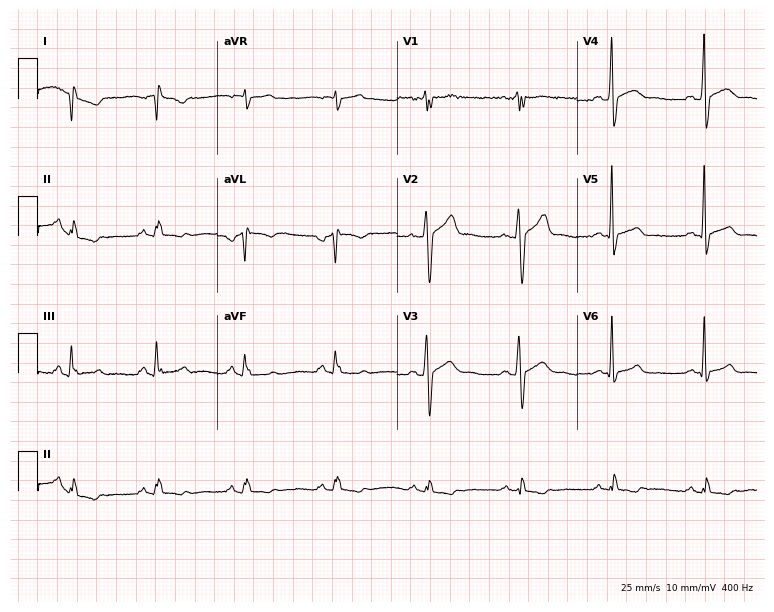
12-lead ECG from a male, 40 years old. No first-degree AV block, right bundle branch block, left bundle branch block, sinus bradycardia, atrial fibrillation or sinus tachycardia recorded for this tracing.